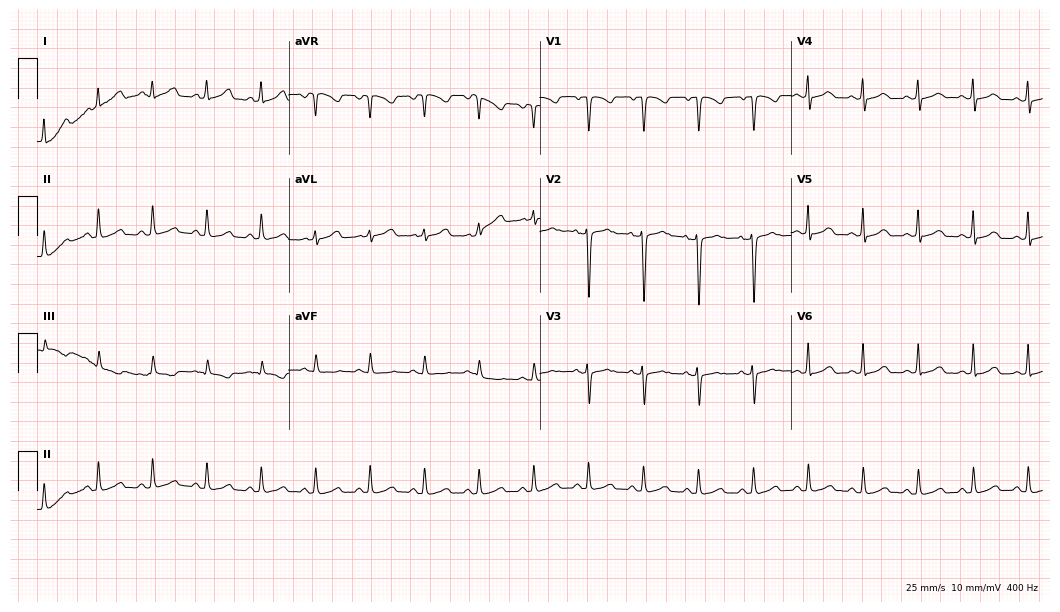
12-lead ECG from a 42-year-old female. Findings include sinus tachycardia (a sinus rate of 100 beats per minute or more).